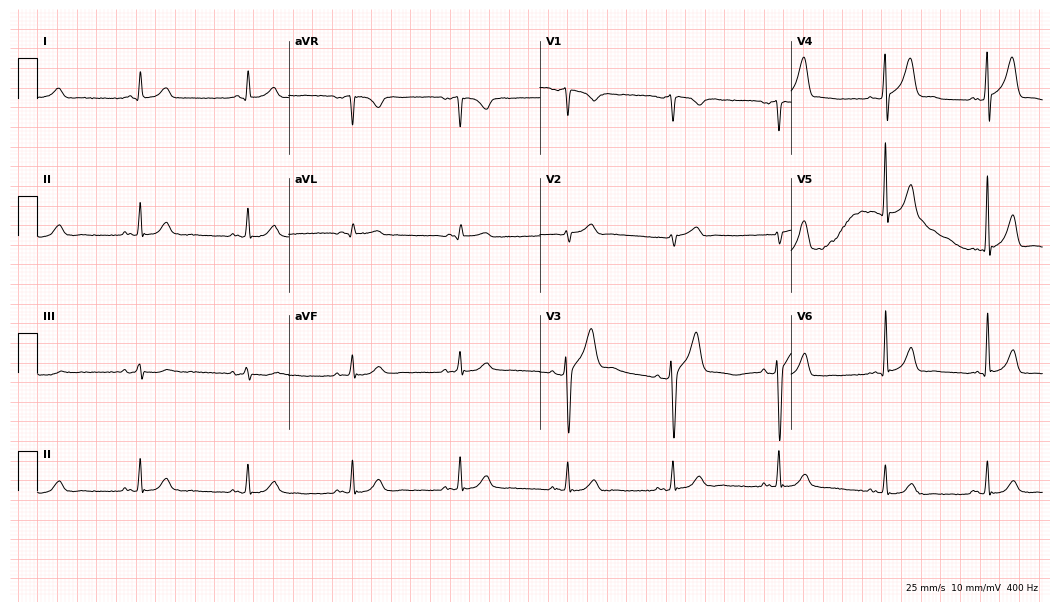
Standard 12-lead ECG recorded from a male patient, 73 years old (10.2-second recording at 400 Hz). None of these six findings is recorded: first-degree AV block, right bundle branch block, left bundle branch block, sinus bradycardia, atrial fibrillation, sinus tachycardia. Findings outside these six are not listed.